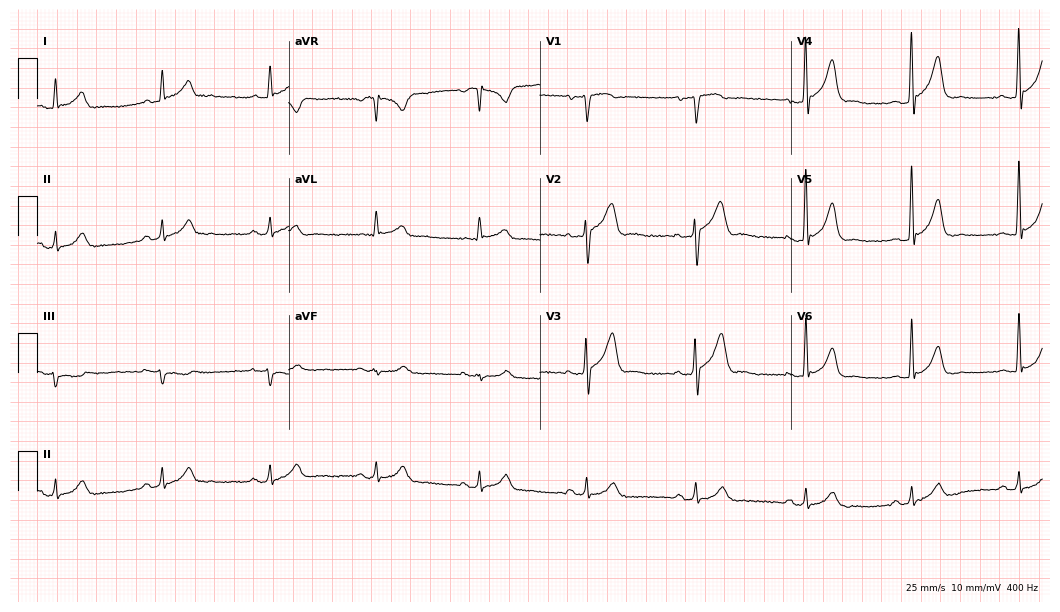
Electrocardiogram (10.2-second recording at 400 Hz), a 61-year-old male. Overall reading on record: normal ECG.